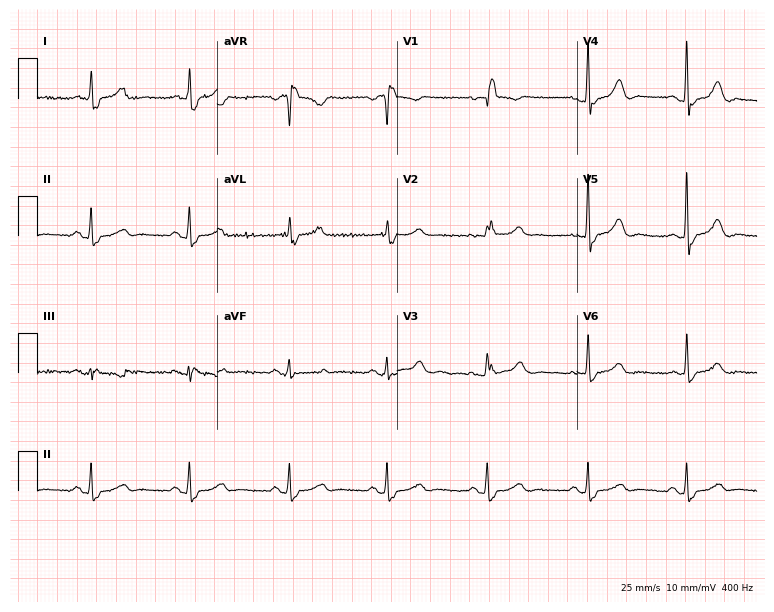
ECG — a female, 75 years old. Findings include right bundle branch block.